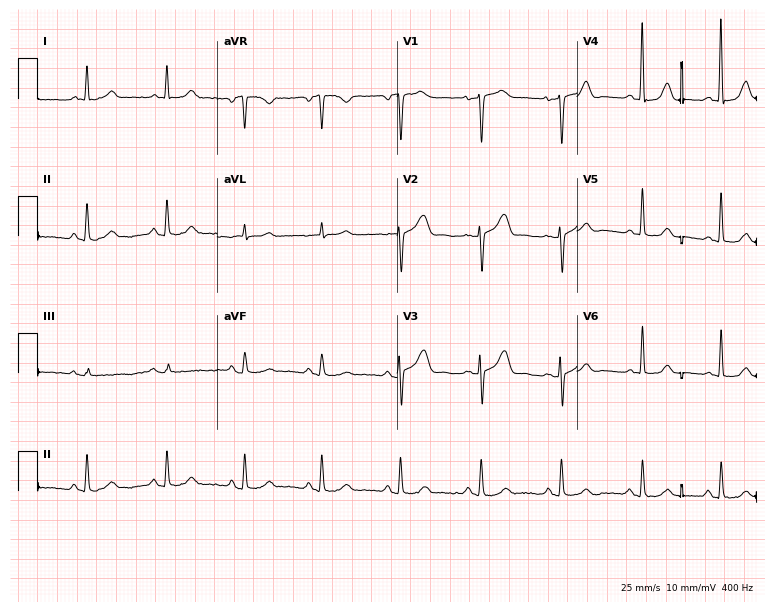
Electrocardiogram, a 58-year-old female patient. Of the six screened findings (first-degree AV block, right bundle branch block (RBBB), left bundle branch block (LBBB), sinus bradycardia, atrial fibrillation (AF), sinus tachycardia), none is recorded.